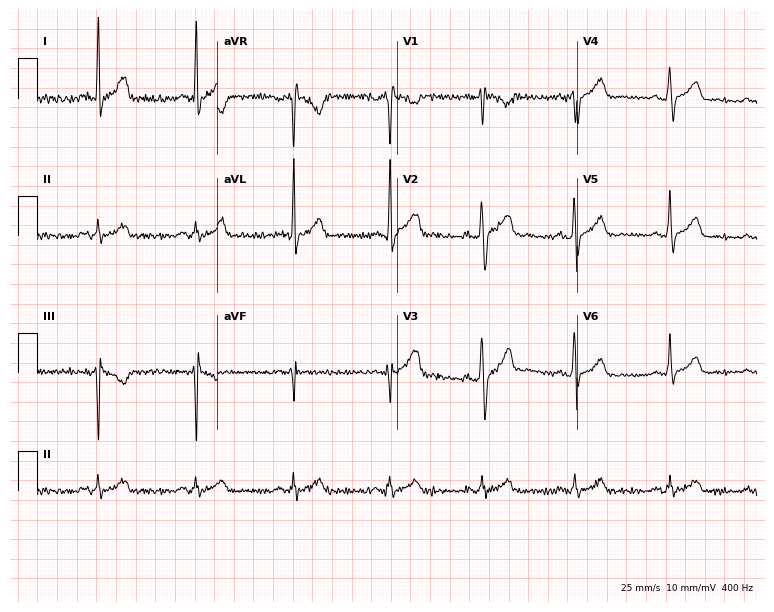
Standard 12-lead ECG recorded from a male patient, 43 years old. None of these six findings is recorded: first-degree AV block, right bundle branch block, left bundle branch block, sinus bradycardia, atrial fibrillation, sinus tachycardia.